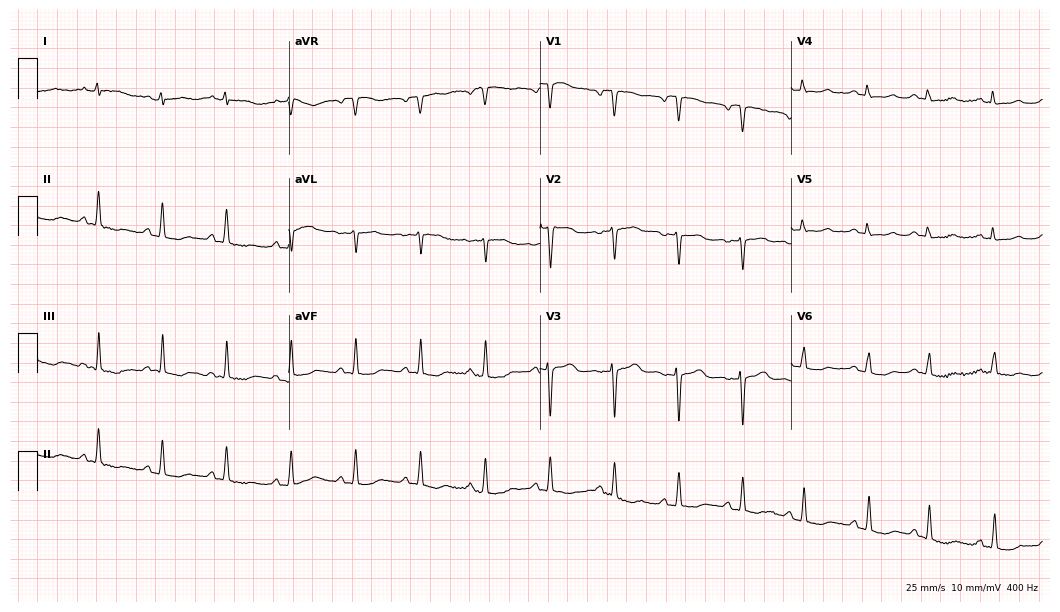
Resting 12-lead electrocardiogram. Patient: a female, 68 years old. None of these six findings is recorded: first-degree AV block, right bundle branch block, left bundle branch block, sinus bradycardia, atrial fibrillation, sinus tachycardia. Findings outside these six are not listed.